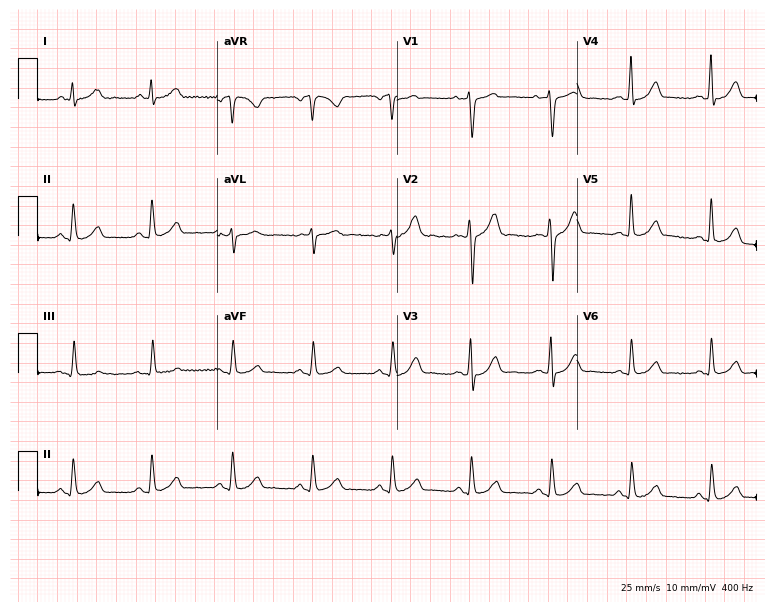
12-lead ECG from a 36-year-old man (7.3-second recording at 400 Hz). No first-degree AV block, right bundle branch block, left bundle branch block, sinus bradycardia, atrial fibrillation or sinus tachycardia recorded for this tracing. Findings outside these six are not listed.